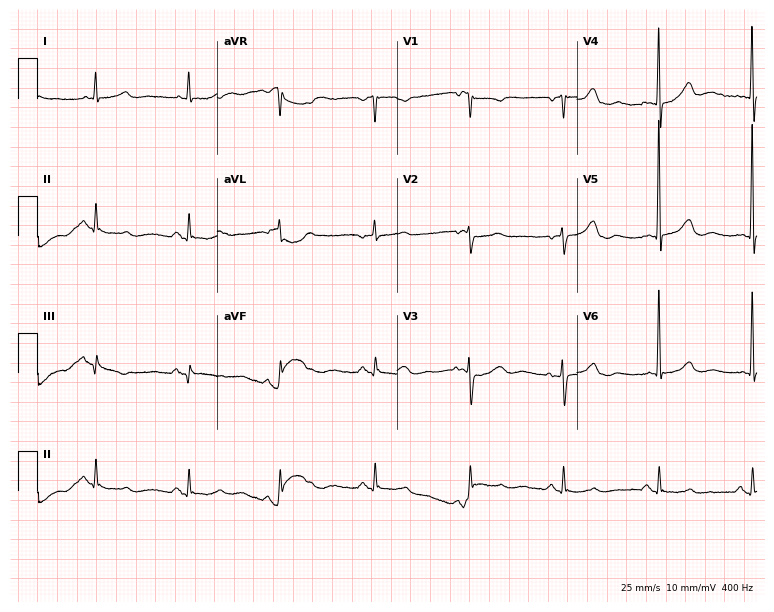
Standard 12-lead ECG recorded from a woman, 84 years old. None of these six findings is recorded: first-degree AV block, right bundle branch block, left bundle branch block, sinus bradycardia, atrial fibrillation, sinus tachycardia. Only these six findings were labelled.